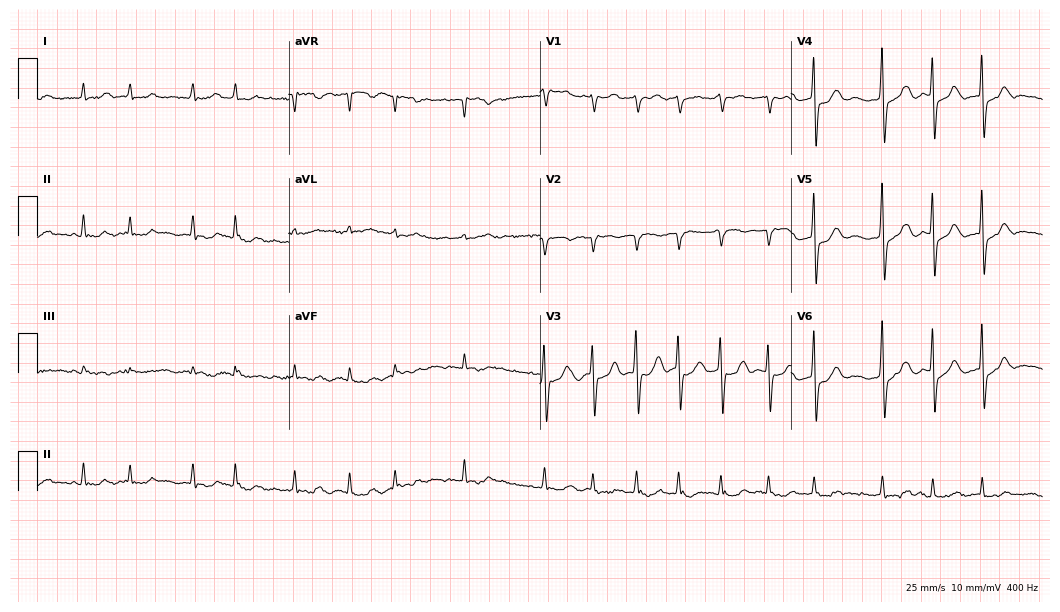
12-lead ECG from a man, 62 years old. Findings include atrial fibrillation.